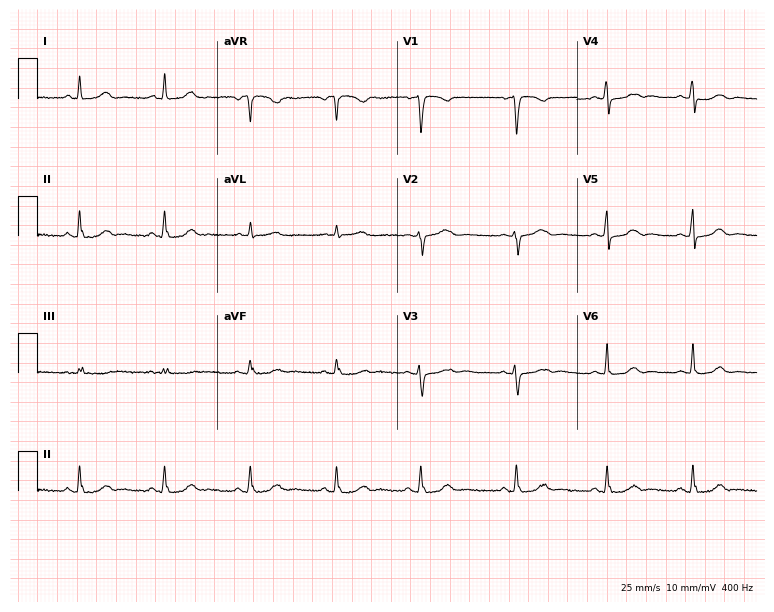
Electrocardiogram (7.3-second recording at 400 Hz), a 40-year-old female. Overall reading on record: normal ECG.